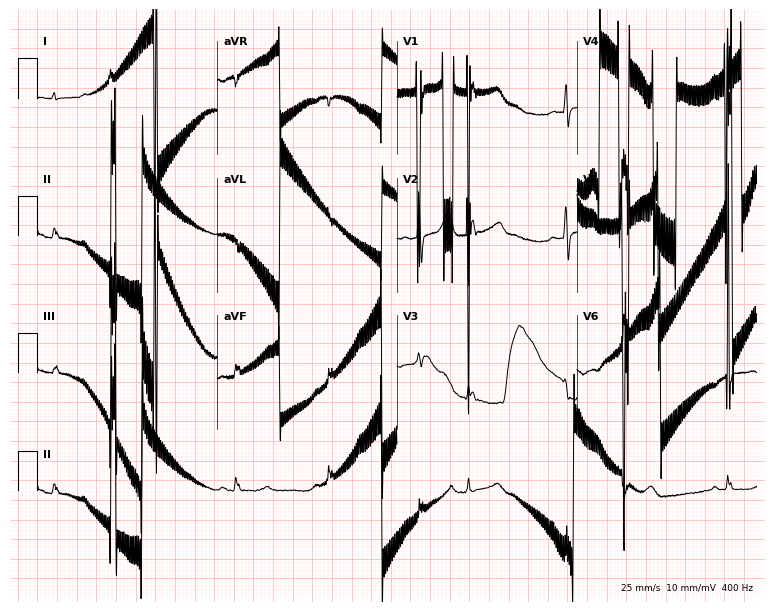
12-lead ECG from a 71-year-old male. Screened for six findings — first-degree AV block, right bundle branch block, left bundle branch block, sinus bradycardia, atrial fibrillation, sinus tachycardia — none is recorded. Findings outside these six are not listed.